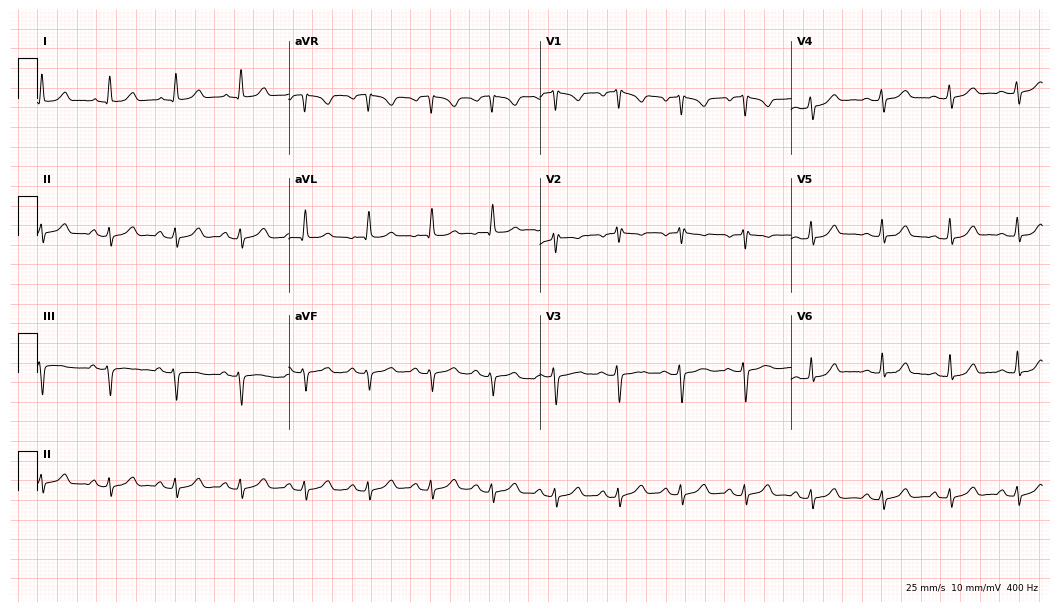
ECG — a 24-year-old woman. Screened for six findings — first-degree AV block, right bundle branch block (RBBB), left bundle branch block (LBBB), sinus bradycardia, atrial fibrillation (AF), sinus tachycardia — none is recorded.